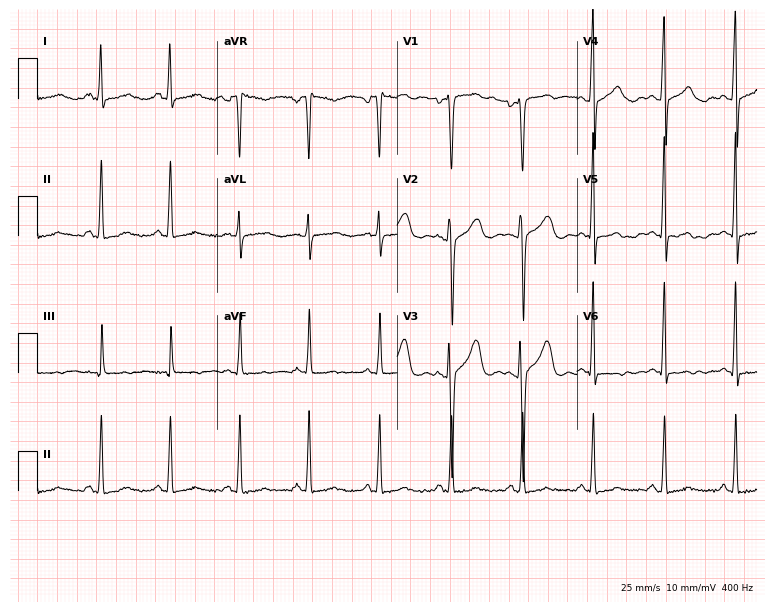
Electrocardiogram (7.3-second recording at 400 Hz), a woman, 40 years old. Of the six screened findings (first-degree AV block, right bundle branch block, left bundle branch block, sinus bradycardia, atrial fibrillation, sinus tachycardia), none is recorded.